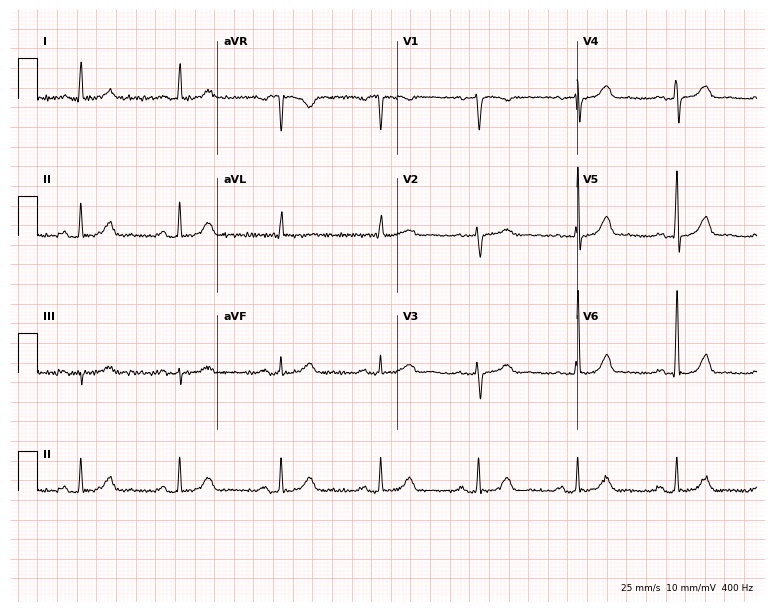
12-lead ECG from a 75-year-old female patient. No first-degree AV block, right bundle branch block, left bundle branch block, sinus bradycardia, atrial fibrillation or sinus tachycardia recorded for this tracing. Other findings, if any, are not listed.